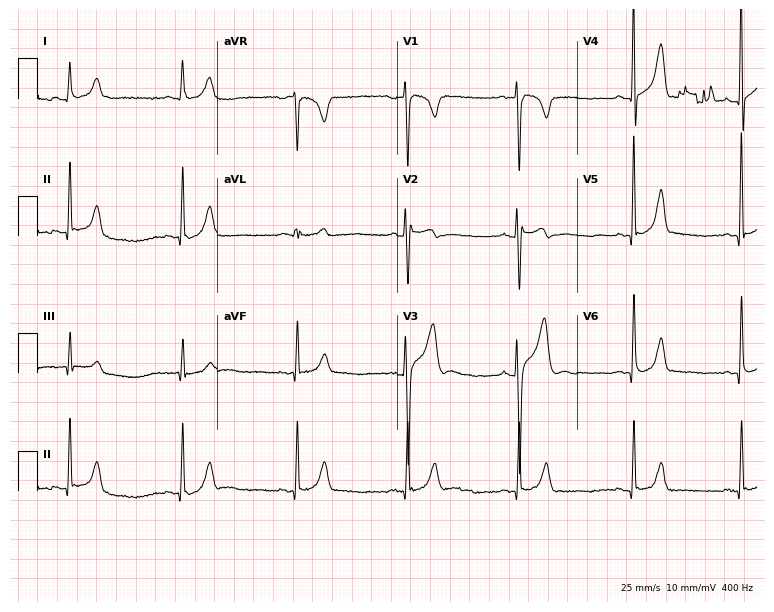
Standard 12-lead ECG recorded from a male patient, 30 years old (7.3-second recording at 400 Hz). Read as a normal ECG.